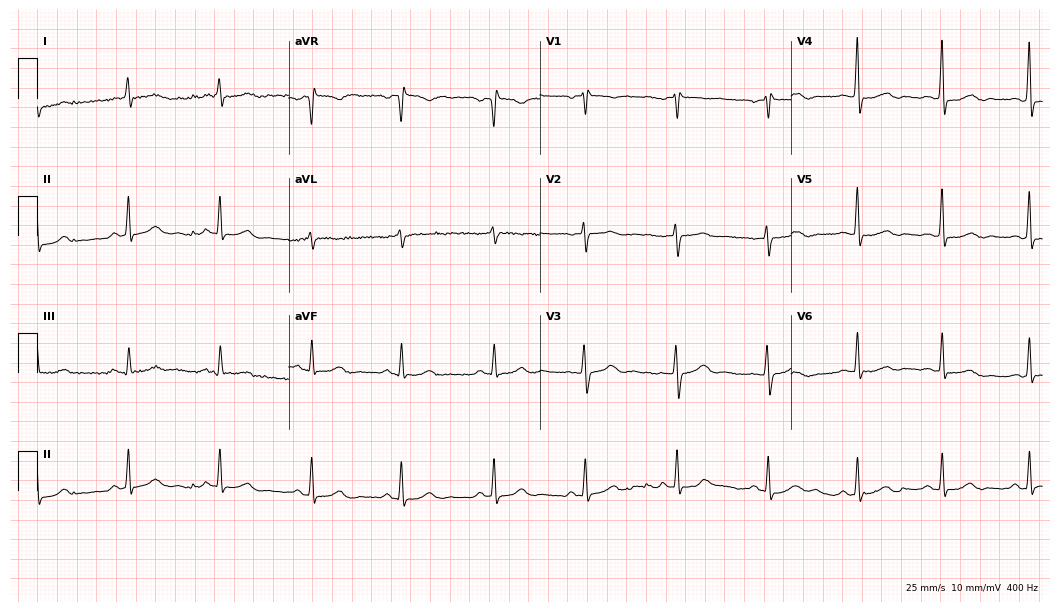
12-lead ECG from a female patient, 75 years old. Labelled as a normal ECG.